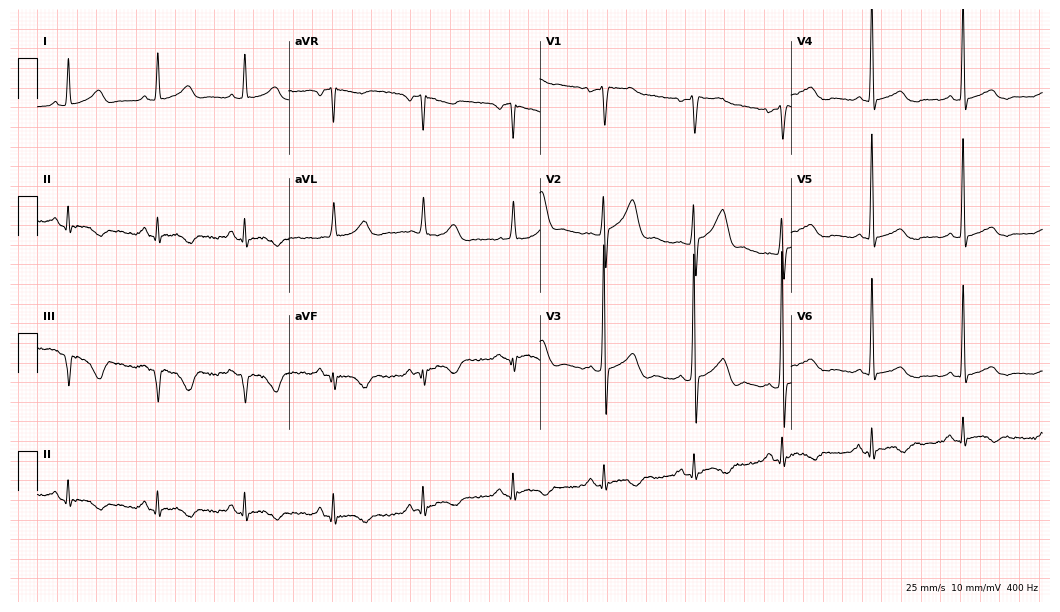
Standard 12-lead ECG recorded from a female patient, 65 years old. None of these six findings is recorded: first-degree AV block, right bundle branch block, left bundle branch block, sinus bradycardia, atrial fibrillation, sinus tachycardia. Findings outside these six are not listed.